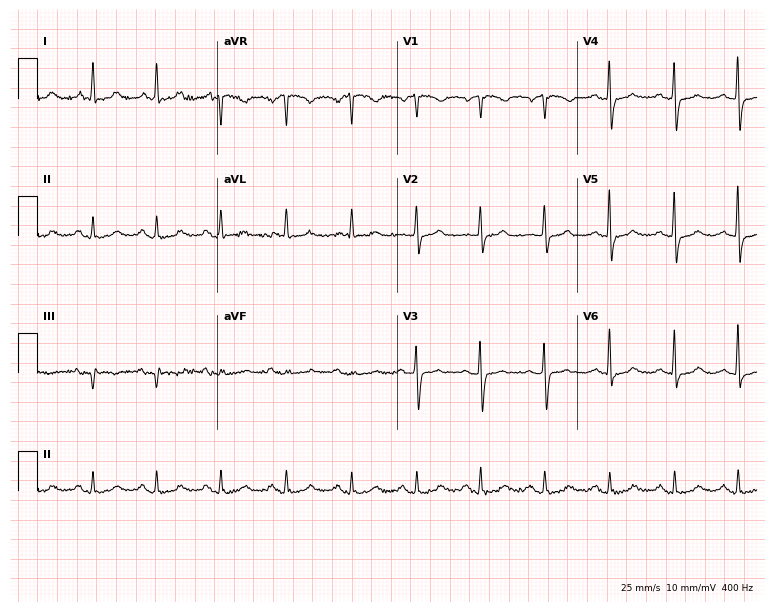
12-lead ECG from a woman, 79 years old. No first-degree AV block, right bundle branch block (RBBB), left bundle branch block (LBBB), sinus bradycardia, atrial fibrillation (AF) or sinus tachycardia recorded for this tracing. Only these six findings were labelled.